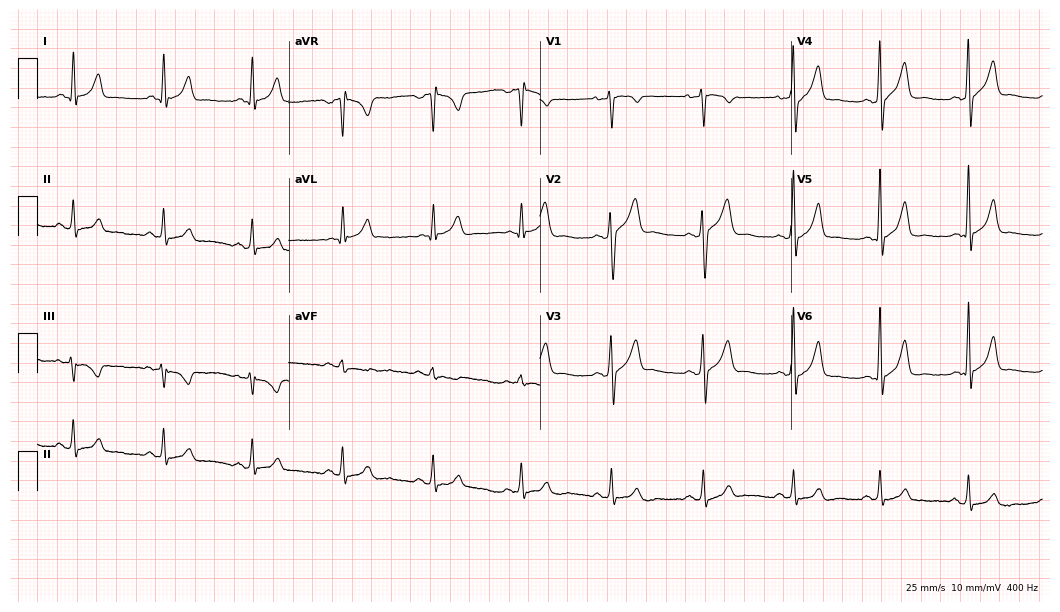
12-lead ECG from a male, 38 years old. Labelled as a normal ECG.